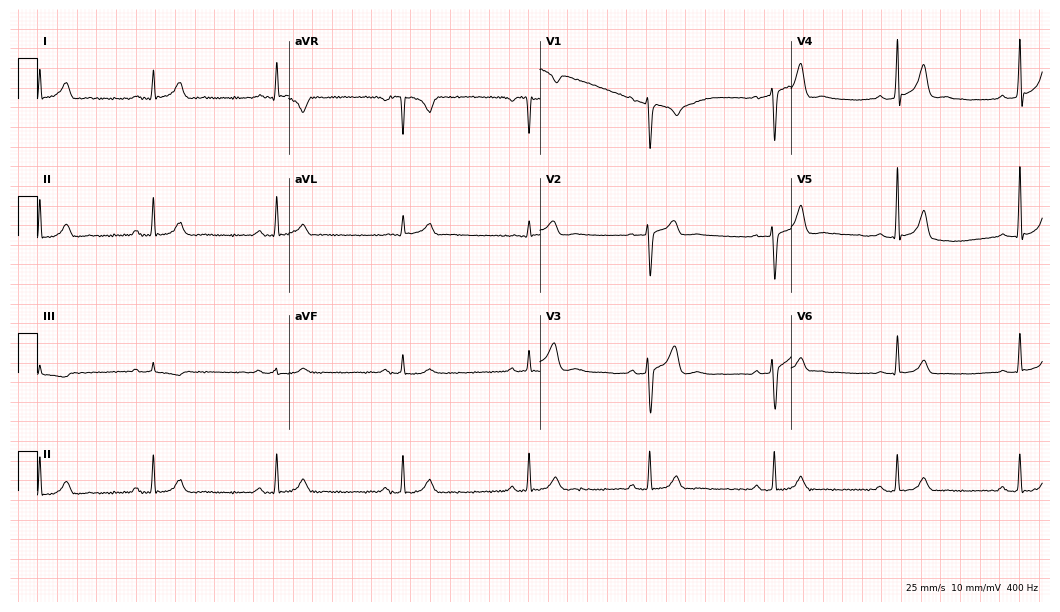
12-lead ECG from a 39-year-old man (10.2-second recording at 400 Hz). No first-degree AV block, right bundle branch block, left bundle branch block, sinus bradycardia, atrial fibrillation or sinus tachycardia recorded for this tracing.